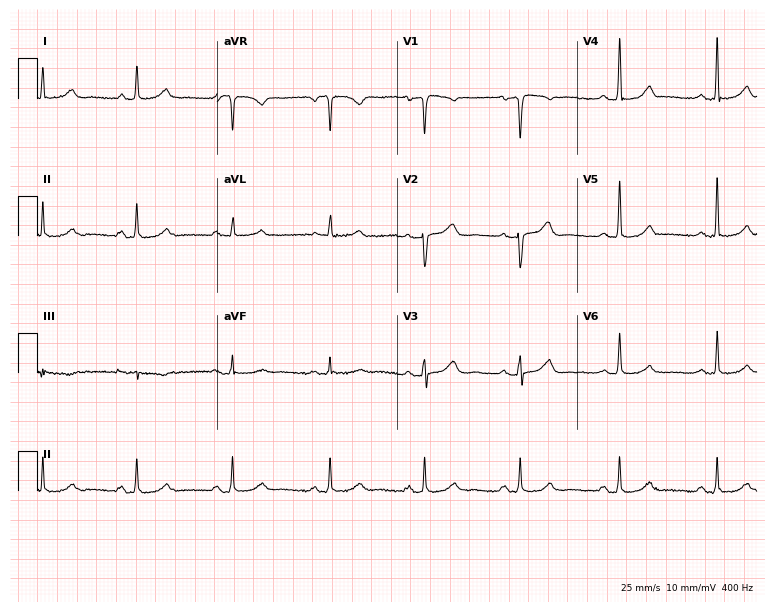
Electrocardiogram, a female patient, 68 years old. Overall reading on record: normal ECG.